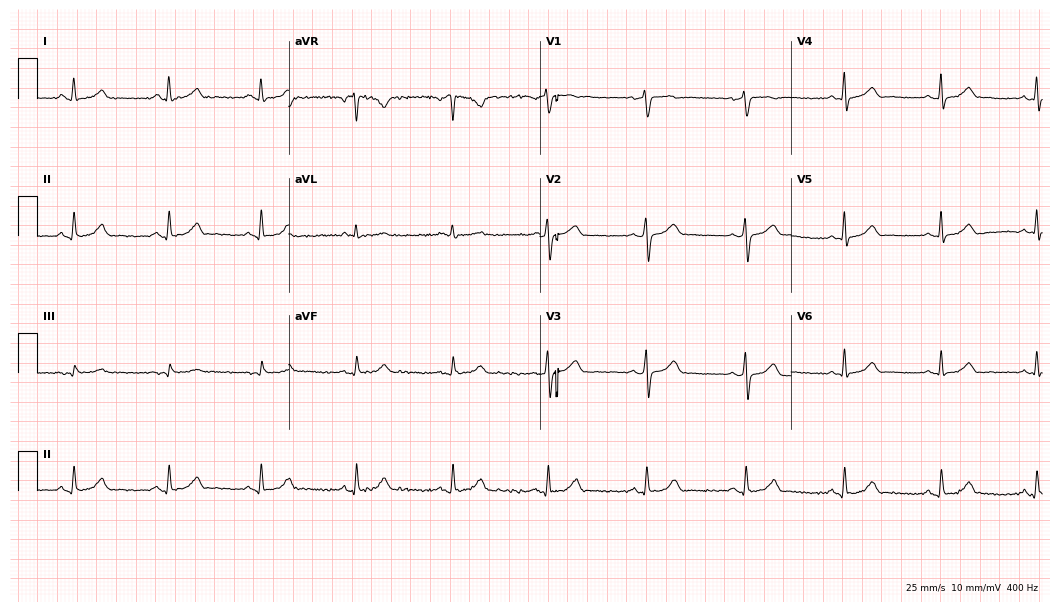
12-lead ECG from a woman, 49 years old. Recorded interpretation: within normal limits.